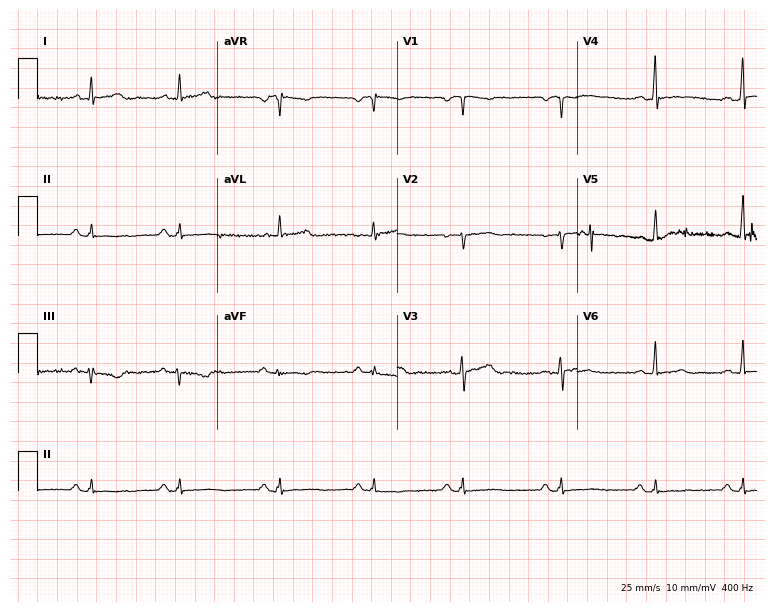
12-lead ECG from a 36-year-old female patient. No first-degree AV block, right bundle branch block, left bundle branch block, sinus bradycardia, atrial fibrillation or sinus tachycardia recorded for this tracing. Findings outside these six are not listed.